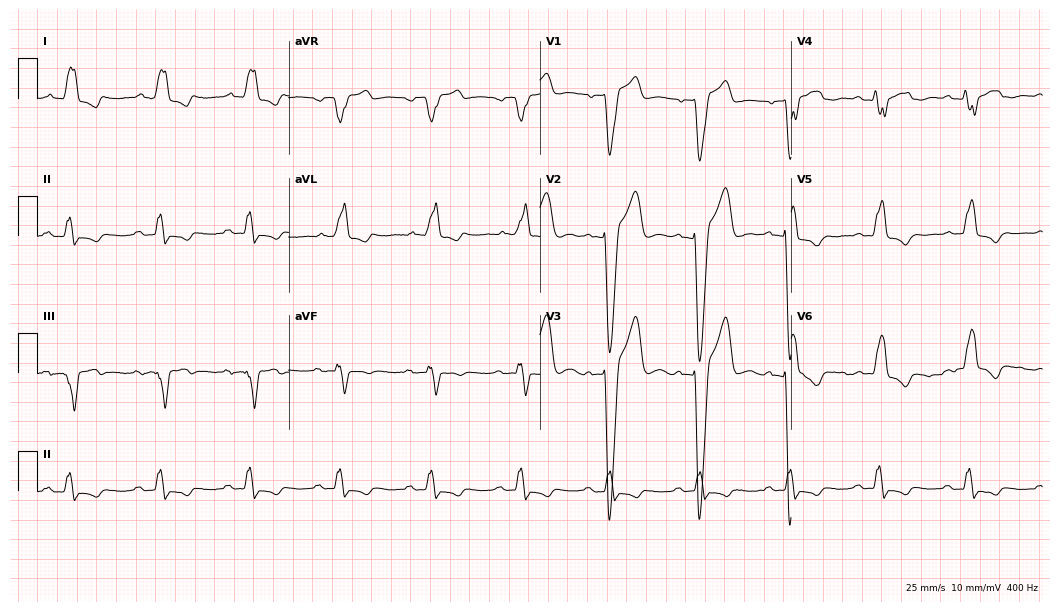
Electrocardiogram, a 65-year-old male patient. Of the six screened findings (first-degree AV block, right bundle branch block, left bundle branch block, sinus bradycardia, atrial fibrillation, sinus tachycardia), none is recorded.